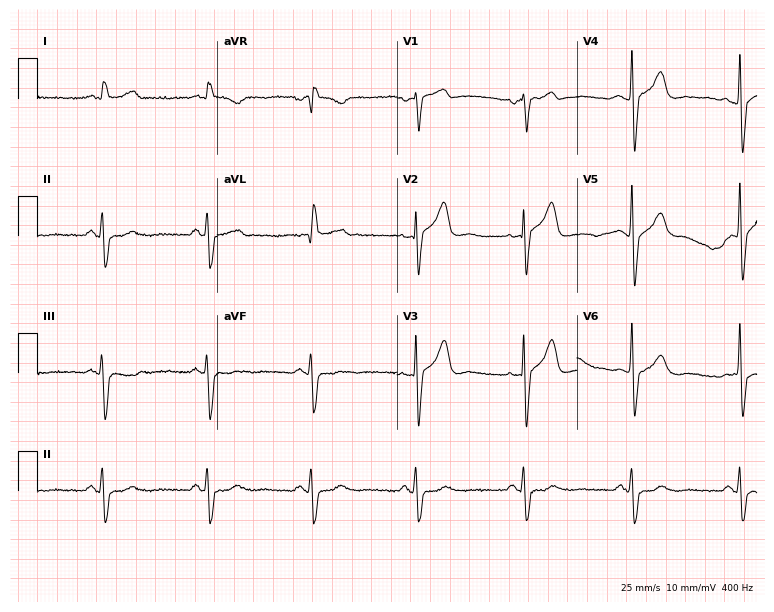
Electrocardiogram (7.3-second recording at 400 Hz), a 64-year-old male. Of the six screened findings (first-degree AV block, right bundle branch block (RBBB), left bundle branch block (LBBB), sinus bradycardia, atrial fibrillation (AF), sinus tachycardia), none is recorded. Only these six findings were labelled.